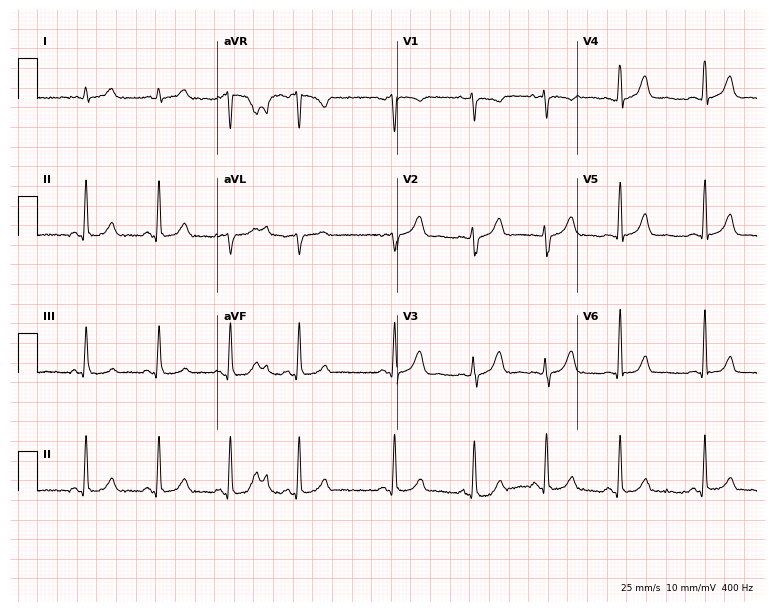
12-lead ECG from a 26-year-old female patient. Screened for six findings — first-degree AV block, right bundle branch block (RBBB), left bundle branch block (LBBB), sinus bradycardia, atrial fibrillation (AF), sinus tachycardia — none is recorded. Only these six findings were labelled.